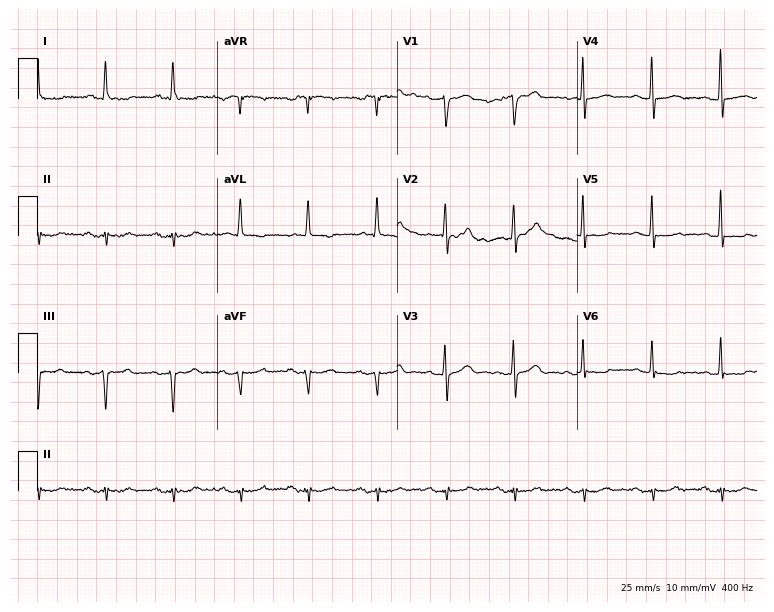
Standard 12-lead ECG recorded from an 81-year-old male. None of these six findings is recorded: first-degree AV block, right bundle branch block, left bundle branch block, sinus bradycardia, atrial fibrillation, sinus tachycardia. Findings outside these six are not listed.